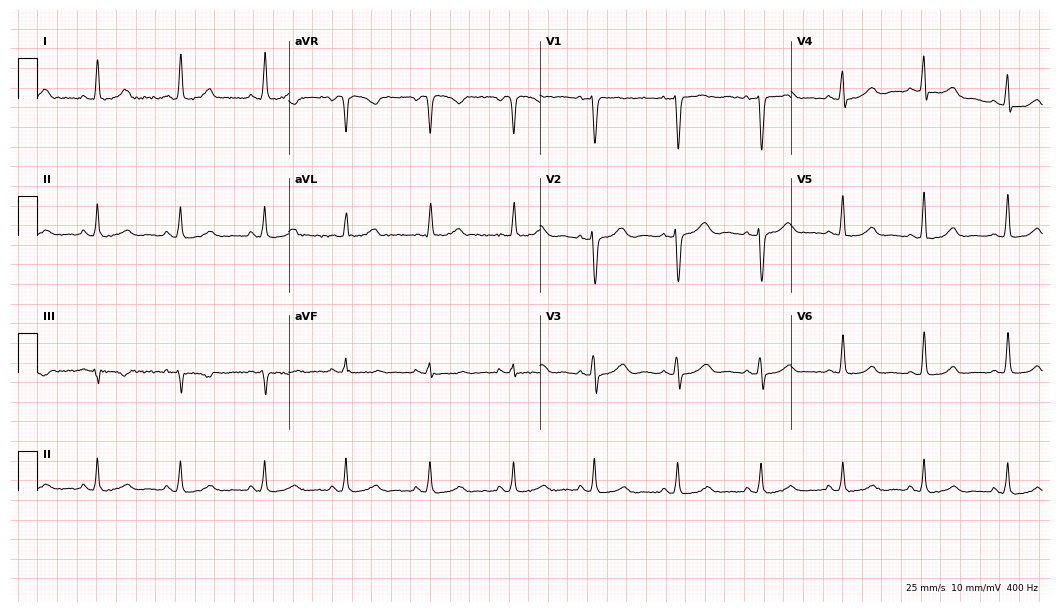
Resting 12-lead electrocardiogram (10.2-second recording at 400 Hz). Patient: a 58-year-old female. None of these six findings is recorded: first-degree AV block, right bundle branch block (RBBB), left bundle branch block (LBBB), sinus bradycardia, atrial fibrillation (AF), sinus tachycardia.